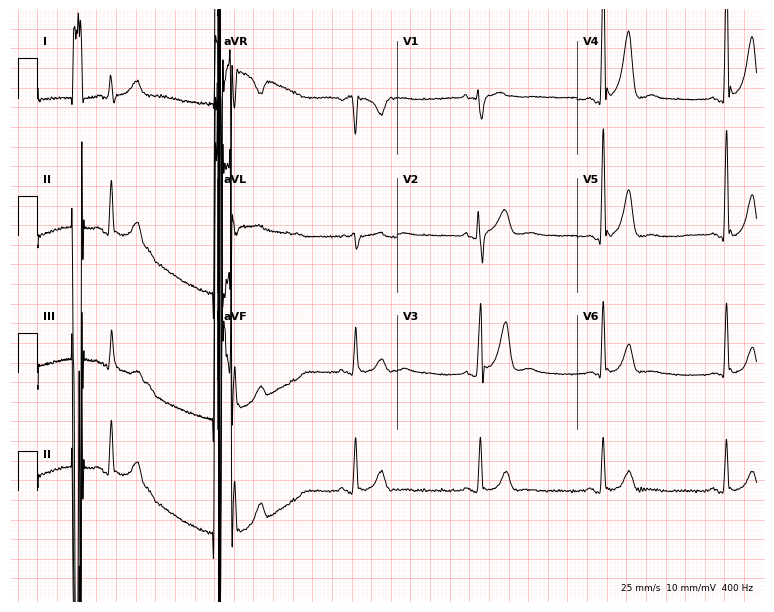
ECG (7.3-second recording at 400 Hz) — a man, 37 years old. Findings include sinus bradycardia (a sinus rate of 50 beats per minute or less).